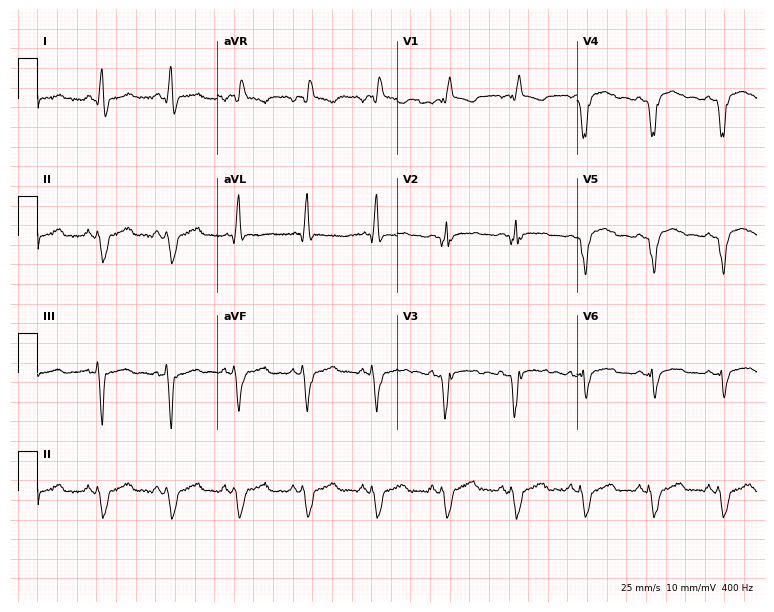
Standard 12-lead ECG recorded from a woman, 59 years old. The tracing shows right bundle branch block (RBBB).